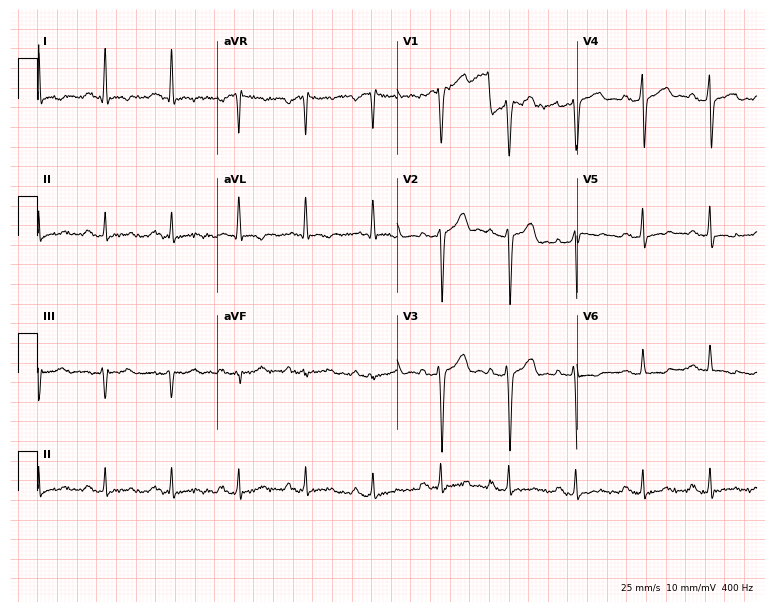
ECG (7.3-second recording at 400 Hz) — a 43-year-old man. Screened for six findings — first-degree AV block, right bundle branch block, left bundle branch block, sinus bradycardia, atrial fibrillation, sinus tachycardia — none is recorded.